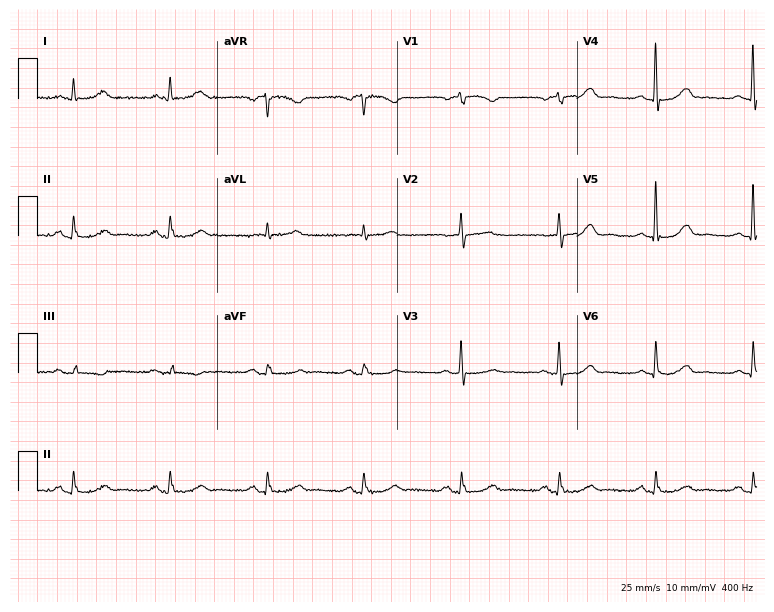
Standard 12-lead ECG recorded from a 75-year-old female patient (7.3-second recording at 400 Hz). Read as a normal ECG.